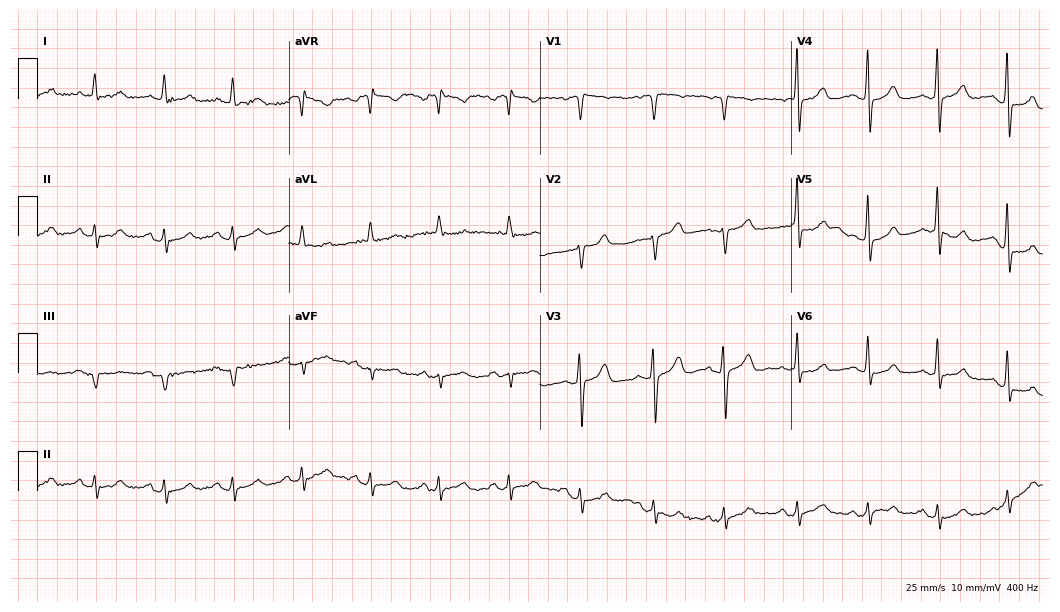
Resting 12-lead electrocardiogram. Patient: a woman, 77 years old. None of these six findings is recorded: first-degree AV block, right bundle branch block, left bundle branch block, sinus bradycardia, atrial fibrillation, sinus tachycardia. Only these six findings were labelled.